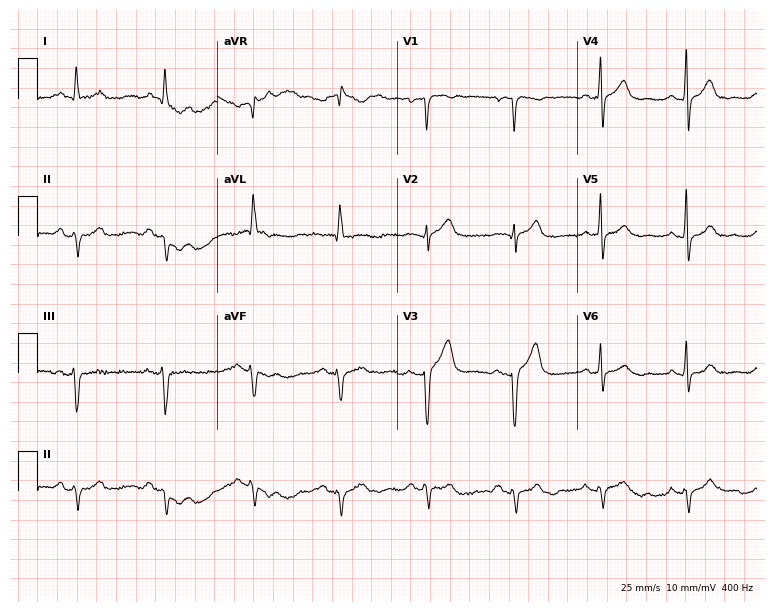
Standard 12-lead ECG recorded from a male, 64 years old. None of these six findings is recorded: first-degree AV block, right bundle branch block (RBBB), left bundle branch block (LBBB), sinus bradycardia, atrial fibrillation (AF), sinus tachycardia.